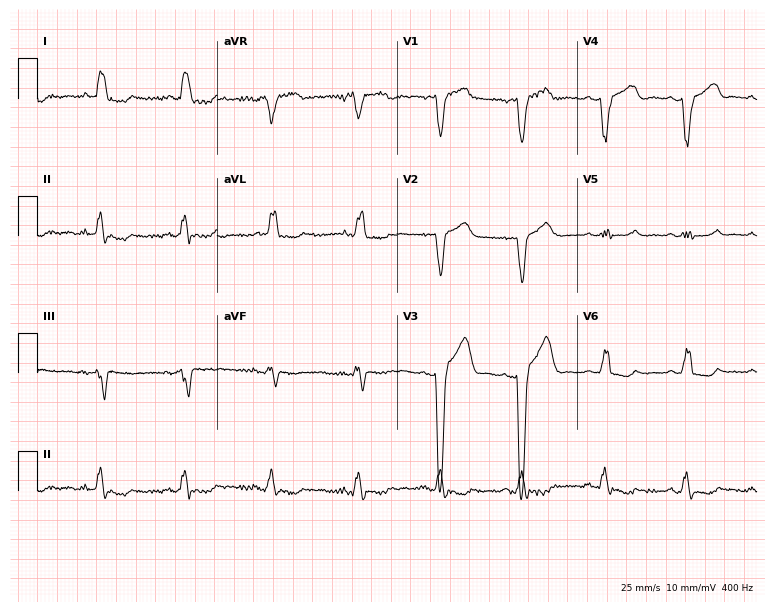
Standard 12-lead ECG recorded from a 56-year-old male (7.3-second recording at 400 Hz). The tracing shows left bundle branch block.